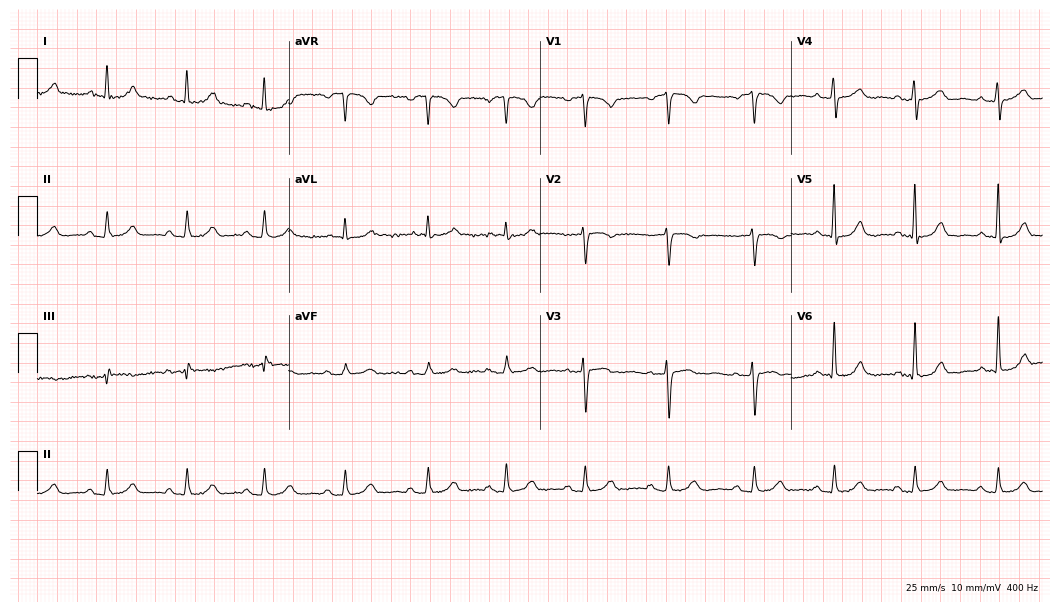
12-lead ECG (10.2-second recording at 400 Hz) from a female patient, 81 years old. Labelled as a normal ECG.